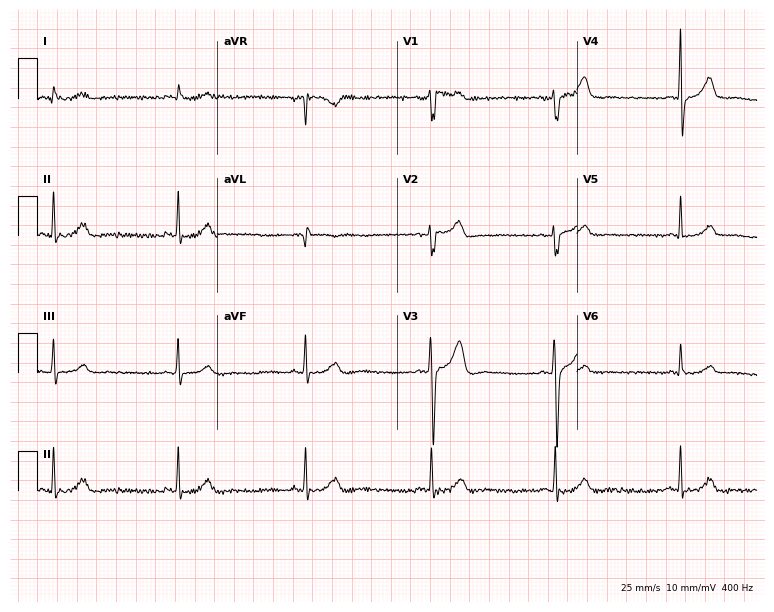
Electrocardiogram, a 43-year-old male. Interpretation includes sinus bradycardia (a sinus rate of 50 beats per minute or less).